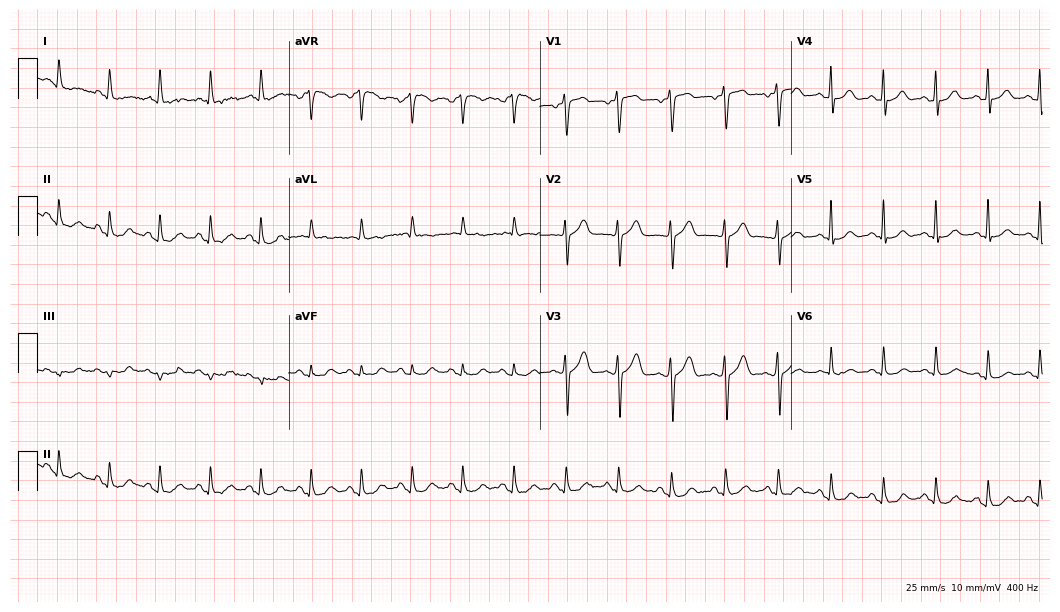
Resting 12-lead electrocardiogram (10.2-second recording at 400 Hz). Patient: a male, 56 years old. The tracing shows sinus tachycardia (a sinus rate of 100 beats per minute or more).